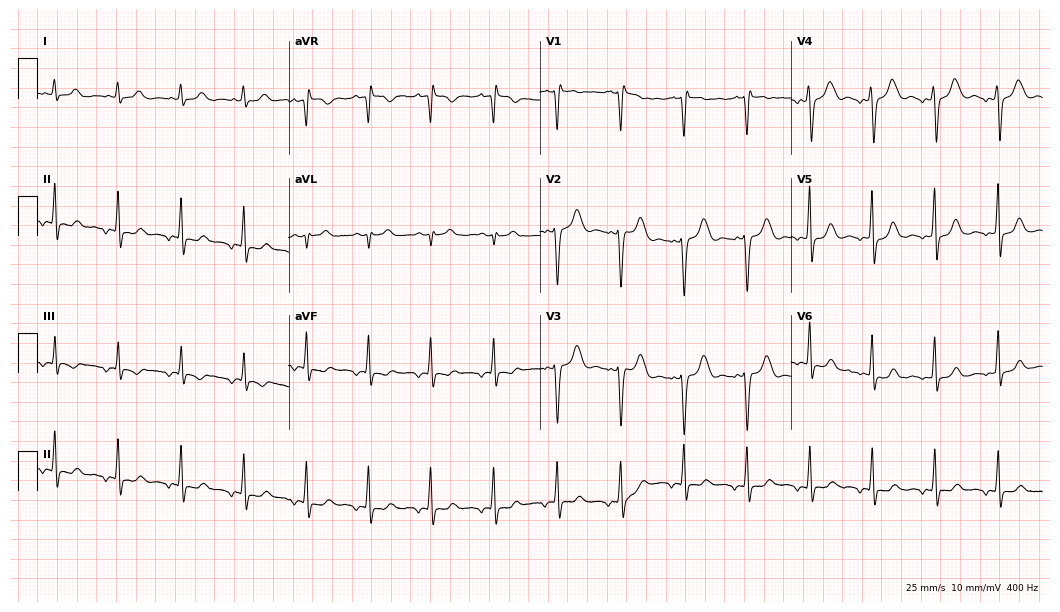
Standard 12-lead ECG recorded from a female, 44 years old. None of these six findings is recorded: first-degree AV block, right bundle branch block, left bundle branch block, sinus bradycardia, atrial fibrillation, sinus tachycardia. Findings outside these six are not listed.